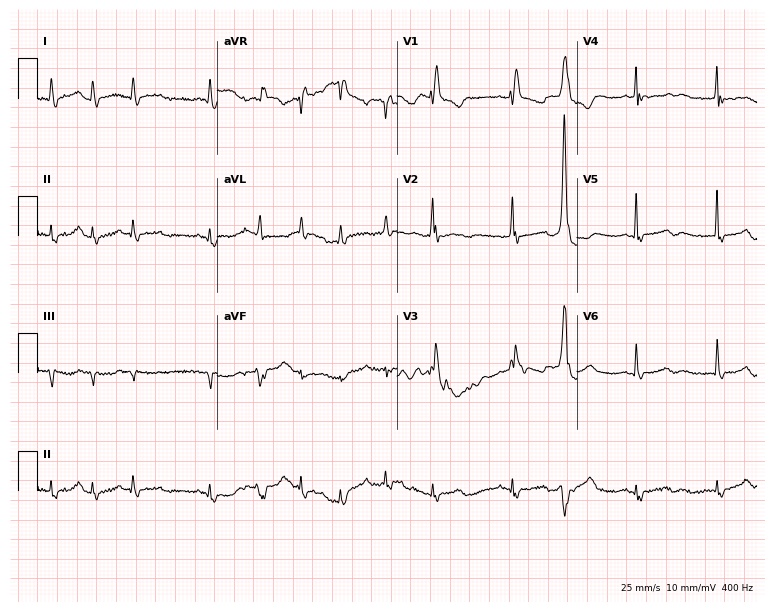
12-lead ECG from an 83-year-old male (7.3-second recording at 400 Hz). Shows atrial fibrillation.